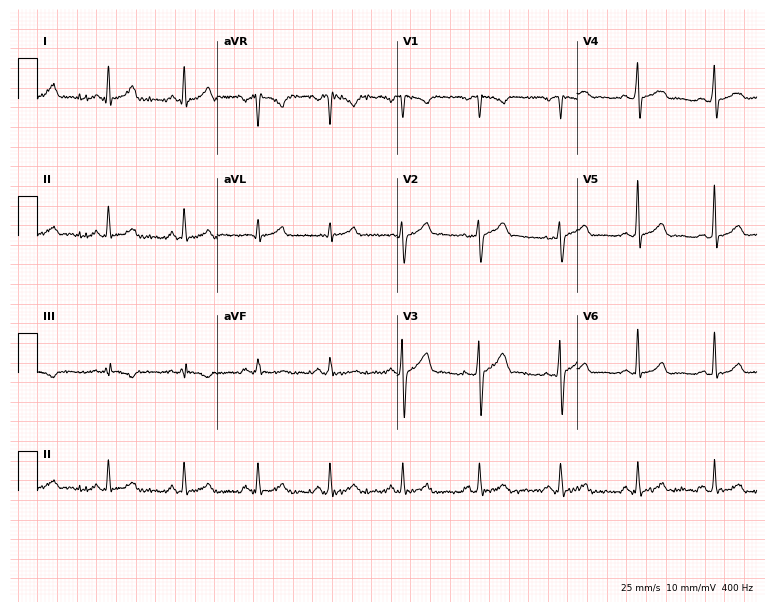
12-lead ECG from a 22-year-old male patient. Labelled as a normal ECG.